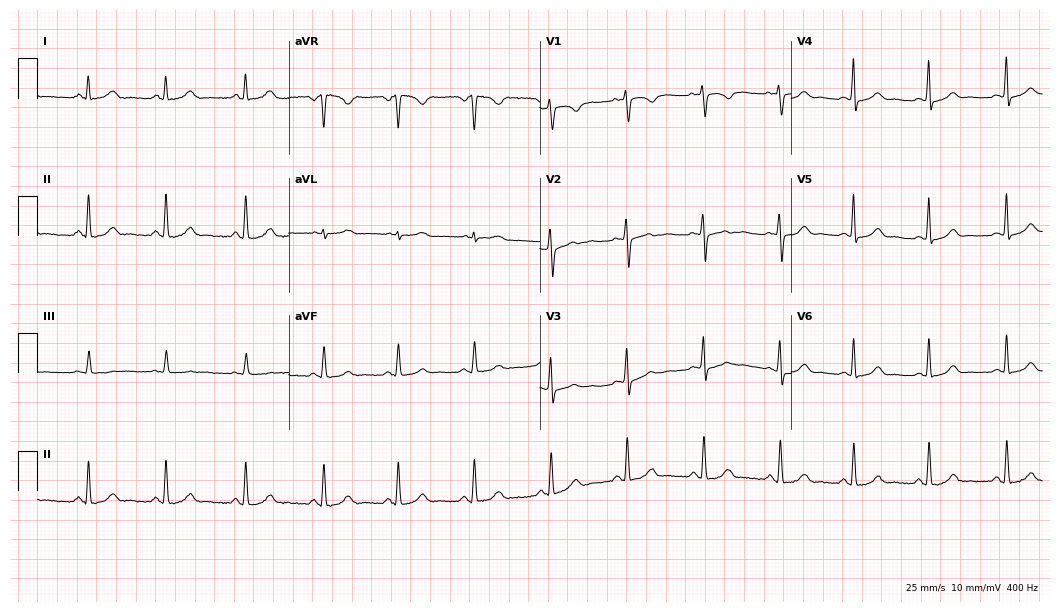
ECG (10.2-second recording at 400 Hz) — a female patient, 35 years old. Labelled as a normal ECG.